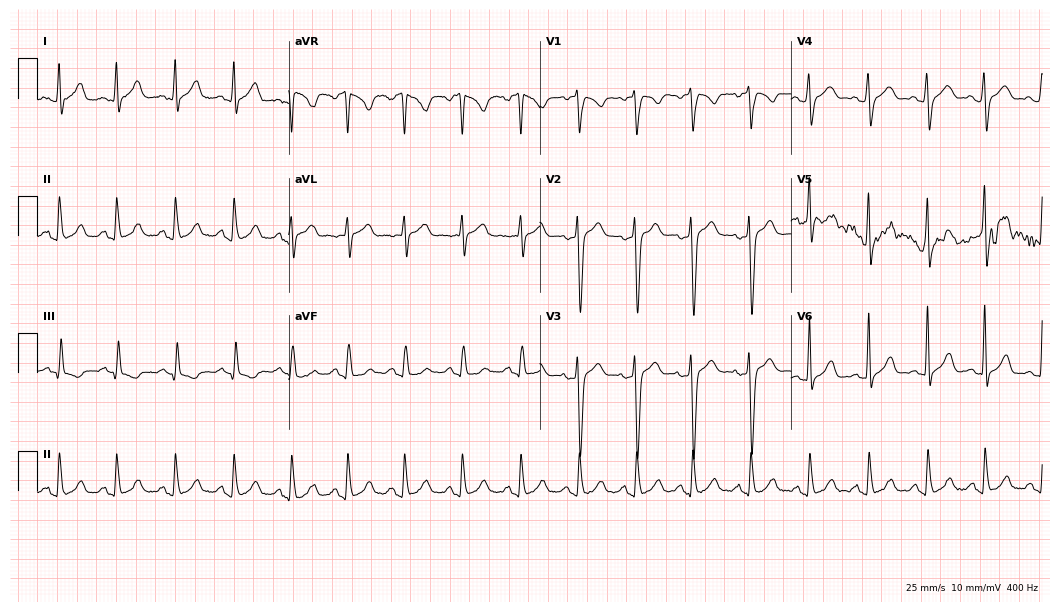
ECG (10.2-second recording at 400 Hz) — a man, 38 years old. Labelled as a normal ECG.